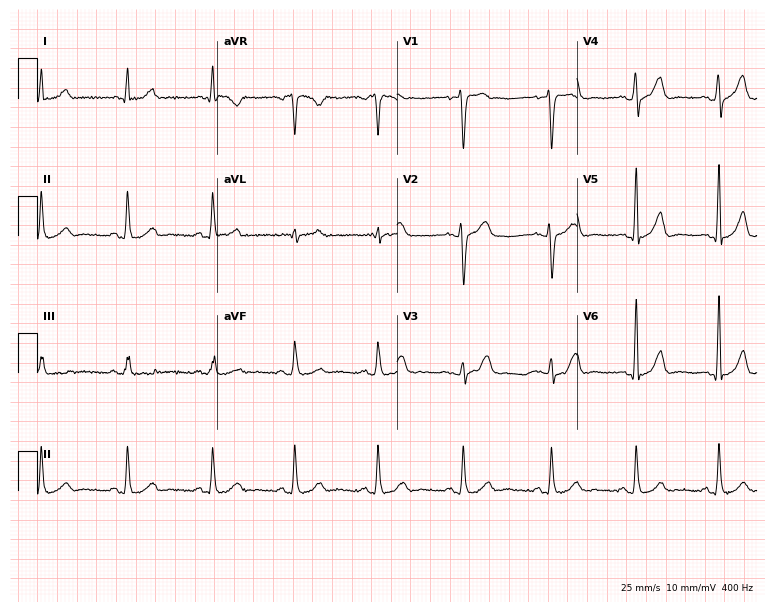
Resting 12-lead electrocardiogram (7.3-second recording at 400 Hz). Patient: a male, 52 years old. Read as a normal ECG.